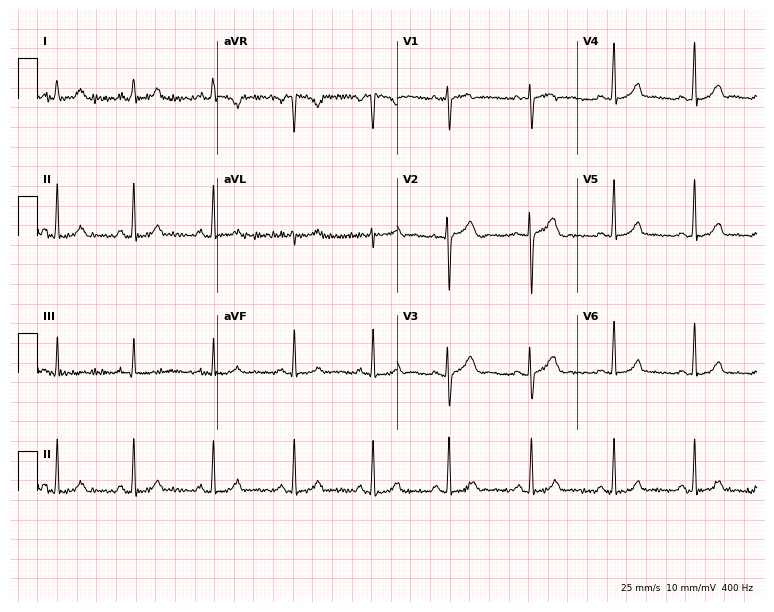
12-lead ECG (7.3-second recording at 400 Hz) from a 20-year-old female. Labelled as a normal ECG.